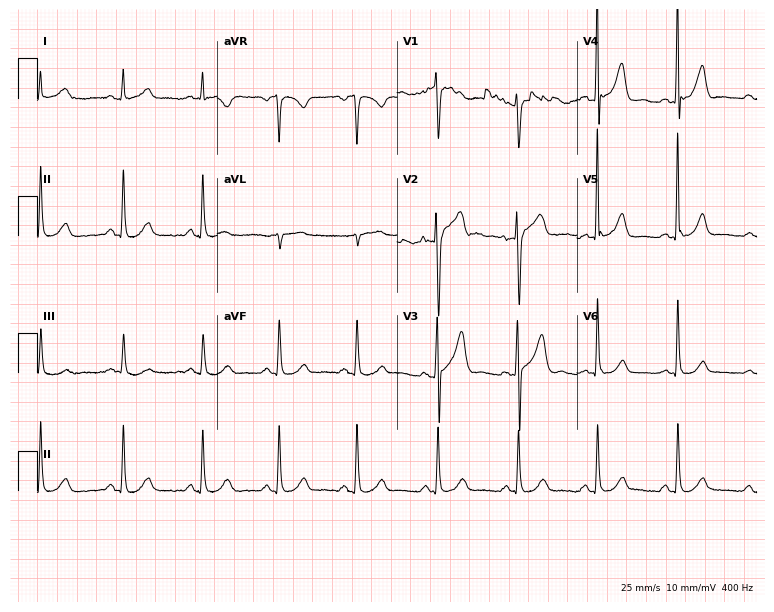
Standard 12-lead ECG recorded from a 67-year-old male. Read as a normal ECG.